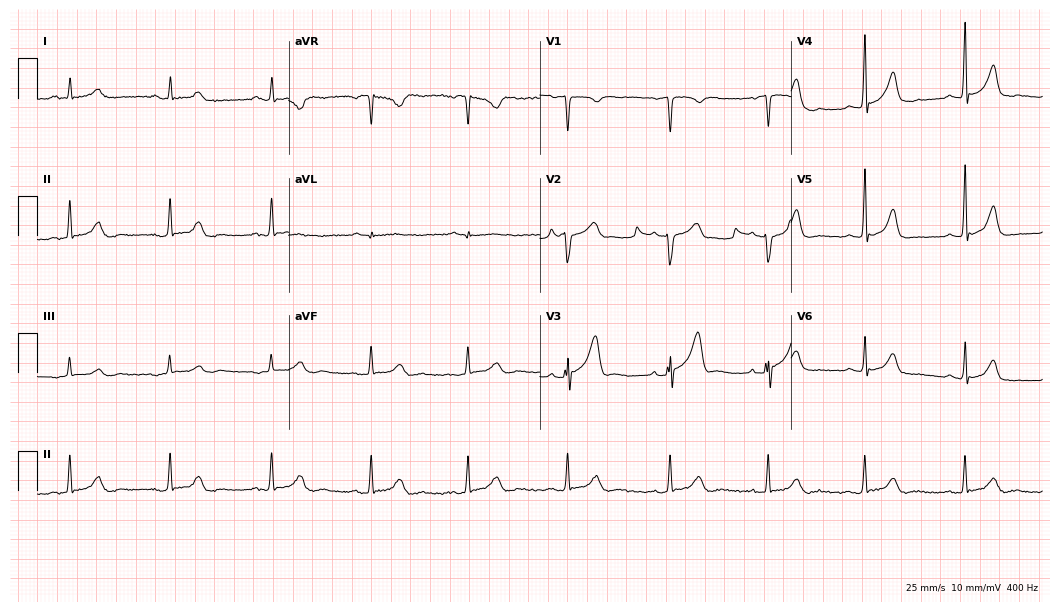
12-lead ECG from a male patient, 59 years old. Labelled as a normal ECG.